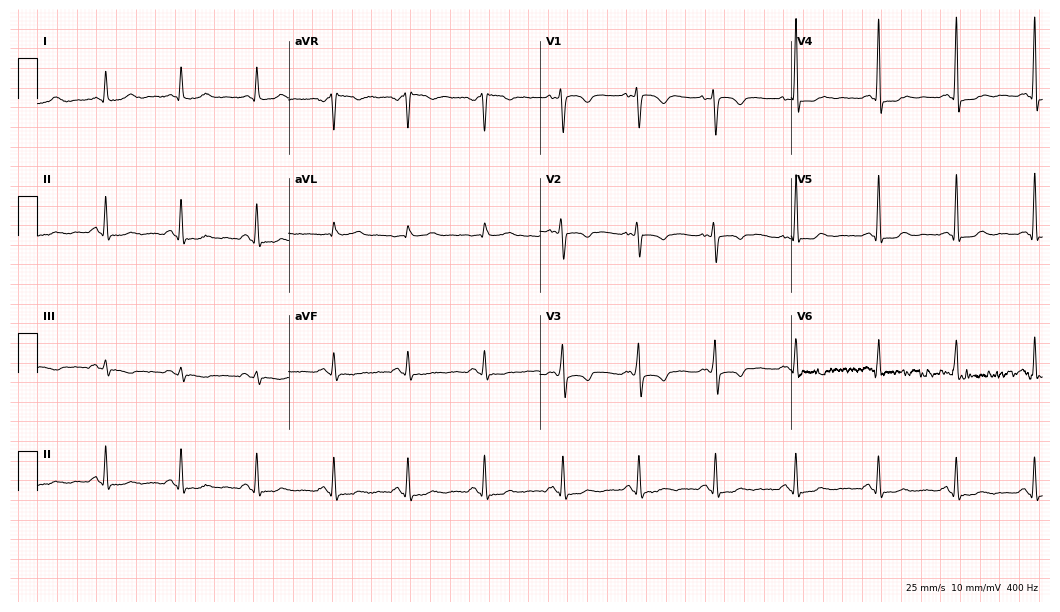
12-lead ECG from a woman, 28 years old. No first-degree AV block, right bundle branch block, left bundle branch block, sinus bradycardia, atrial fibrillation or sinus tachycardia recorded for this tracing. Findings outside these six are not listed.